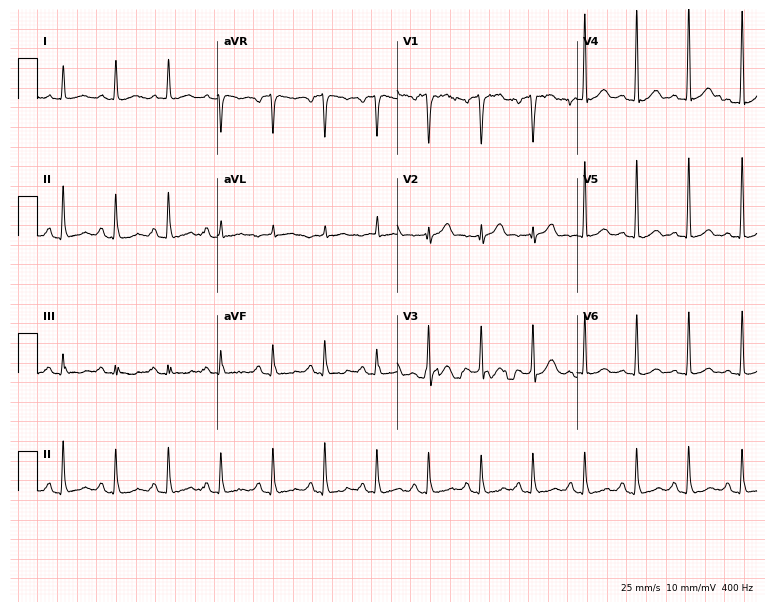
Electrocardiogram (7.3-second recording at 400 Hz), a man, 56 years old. Of the six screened findings (first-degree AV block, right bundle branch block, left bundle branch block, sinus bradycardia, atrial fibrillation, sinus tachycardia), none is recorded. Only these six findings were labelled.